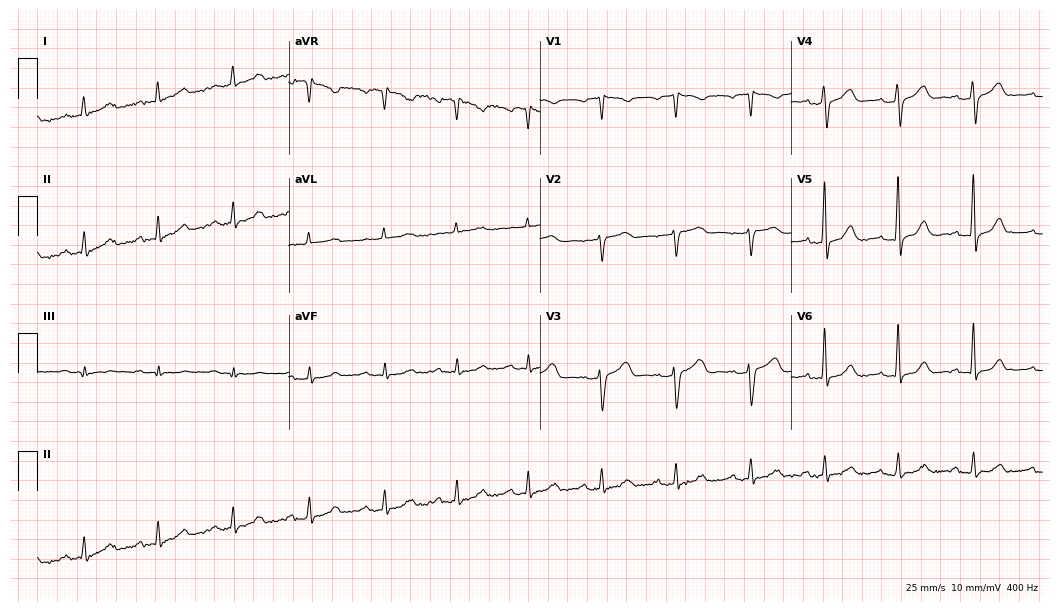
Electrocardiogram, a 51-year-old woman. Of the six screened findings (first-degree AV block, right bundle branch block, left bundle branch block, sinus bradycardia, atrial fibrillation, sinus tachycardia), none is recorded. Other findings, if any, are not listed.